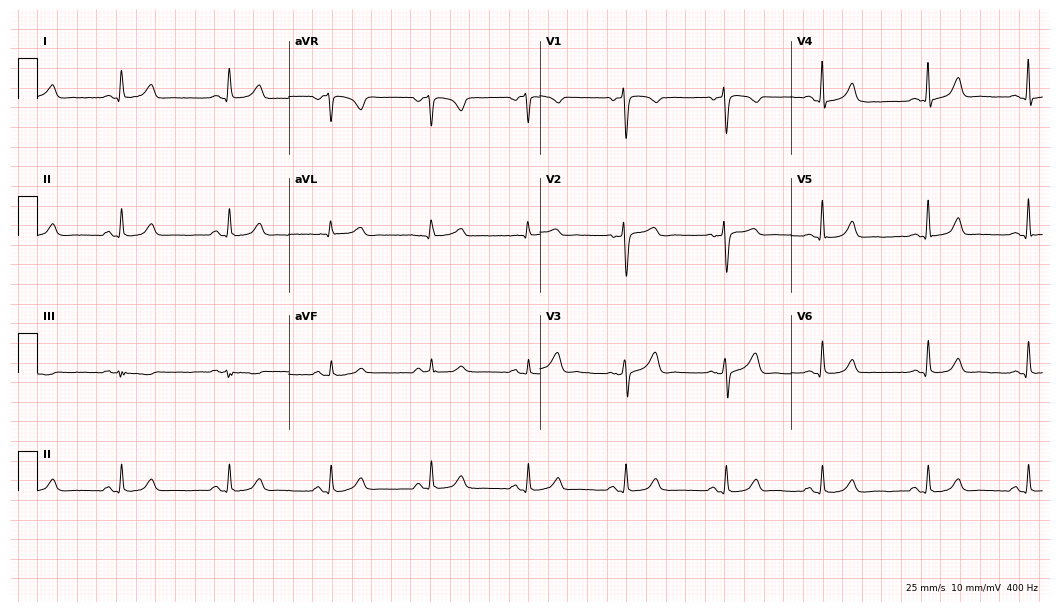
Resting 12-lead electrocardiogram (10.2-second recording at 400 Hz). Patient: a 50-year-old female. Read as a normal ECG.